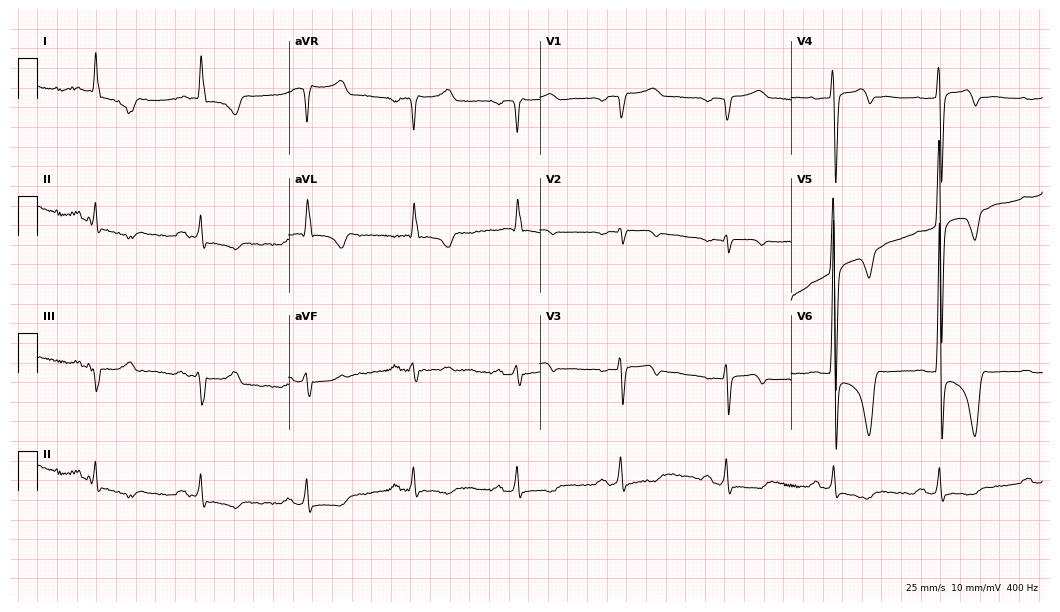
12-lead ECG from a male, 70 years old. No first-degree AV block, right bundle branch block, left bundle branch block, sinus bradycardia, atrial fibrillation or sinus tachycardia recorded for this tracing.